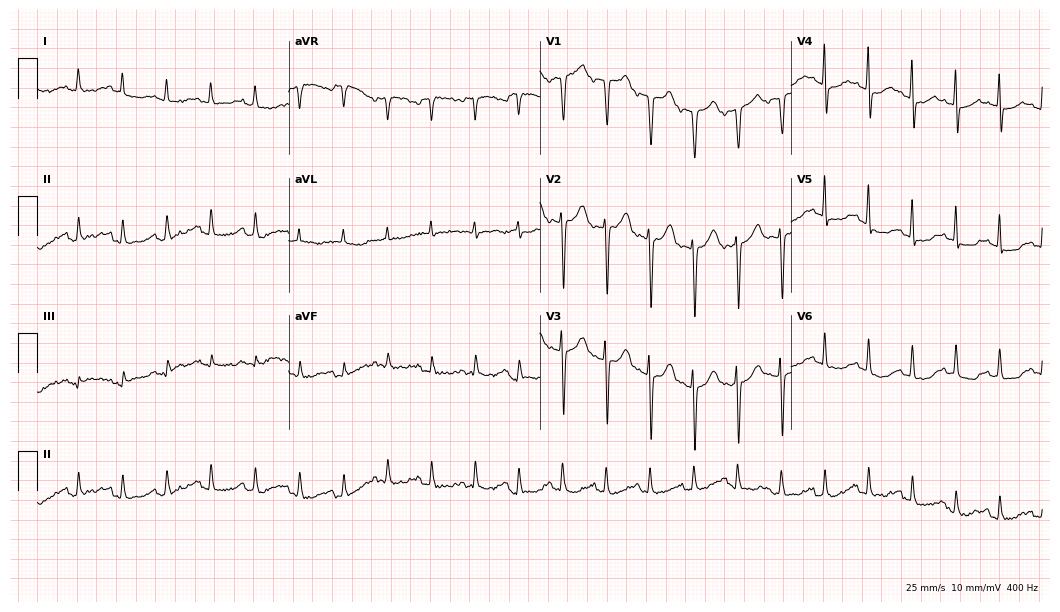
12-lead ECG from a 70-year-old female. Shows sinus tachycardia (a sinus rate of 100 beats per minute or more).